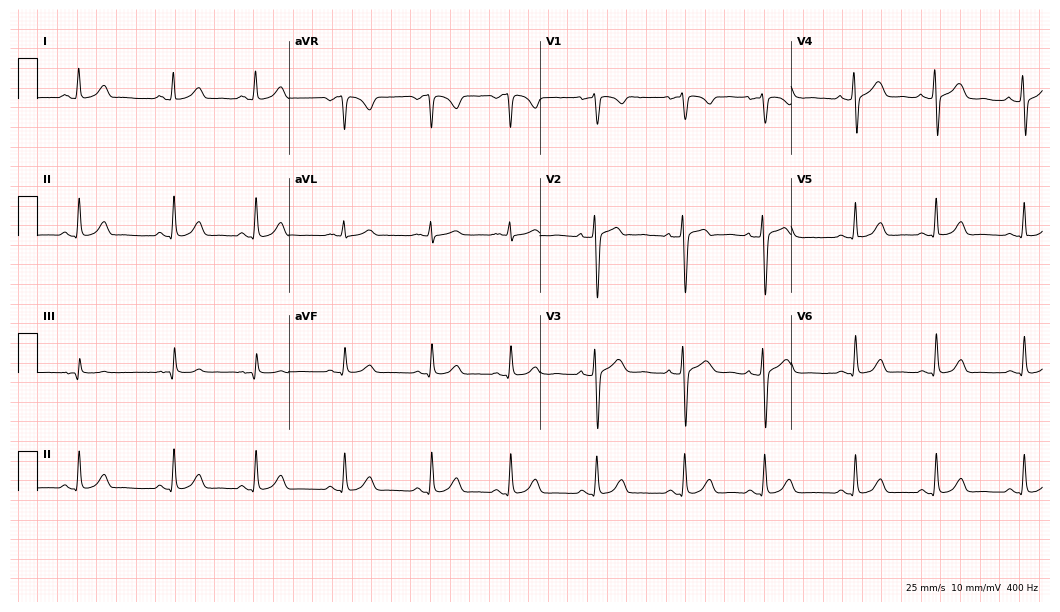
Electrocardiogram (10.2-second recording at 400 Hz), a female, 23 years old. Overall reading on record: normal ECG.